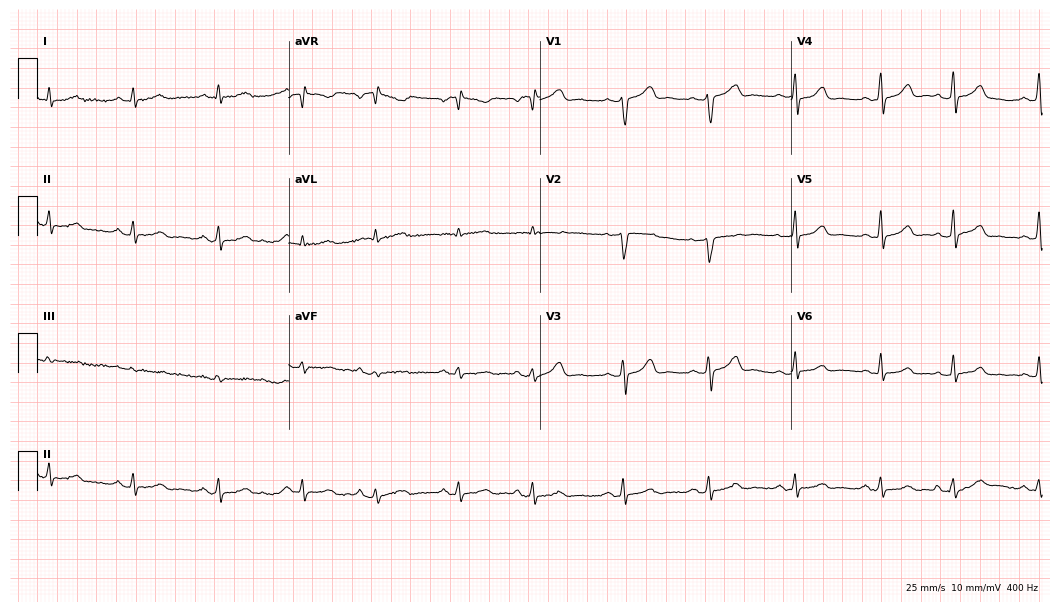
12-lead ECG from a female patient, 40 years old (10.2-second recording at 400 Hz). Recorded interpretation: within normal limits.